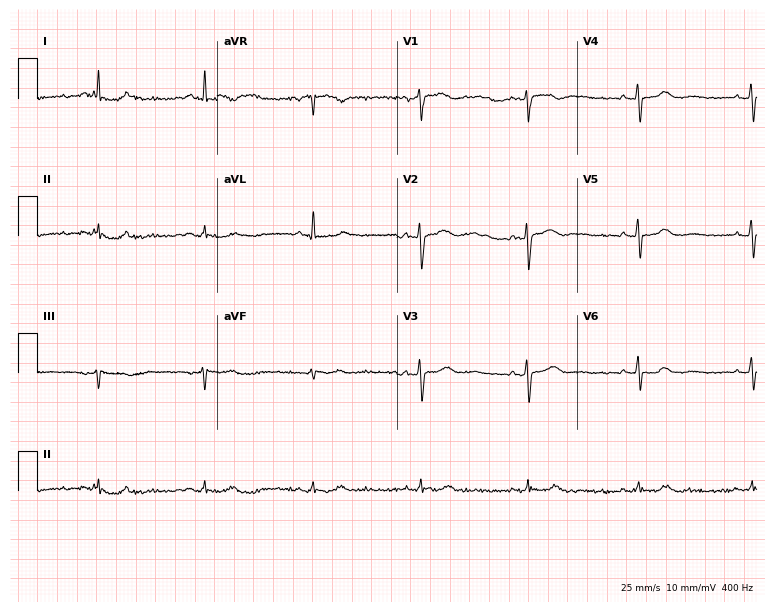
12-lead ECG from a 66-year-old woman (7.3-second recording at 400 Hz). No first-degree AV block, right bundle branch block (RBBB), left bundle branch block (LBBB), sinus bradycardia, atrial fibrillation (AF) or sinus tachycardia recorded for this tracing.